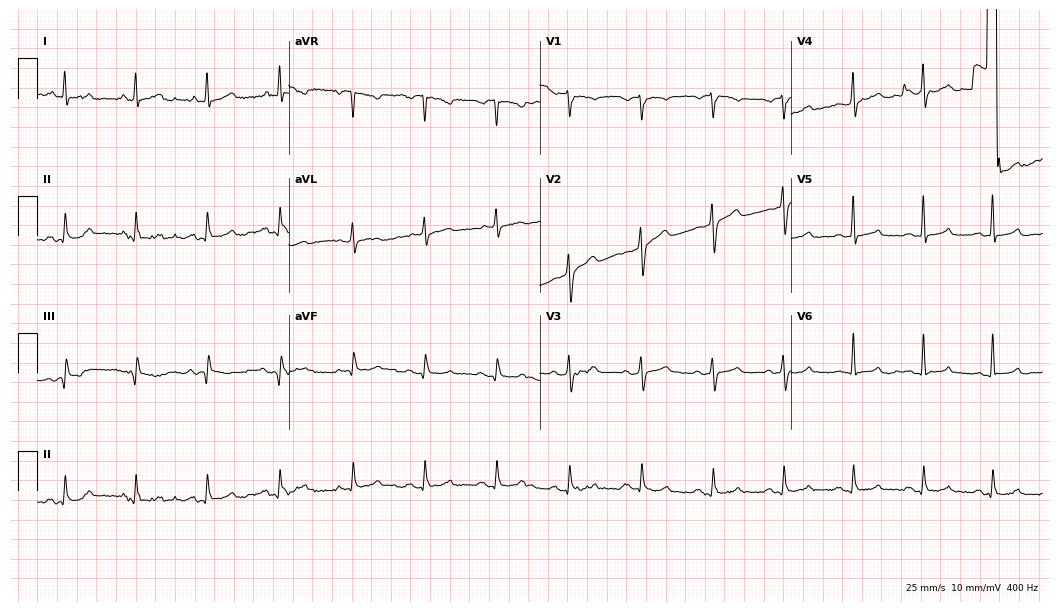
Standard 12-lead ECG recorded from a 67-year-old male patient. None of these six findings is recorded: first-degree AV block, right bundle branch block (RBBB), left bundle branch block (LBBB), sinus bradycardia, atrial fibrillation (AF), sinus tachycardia.